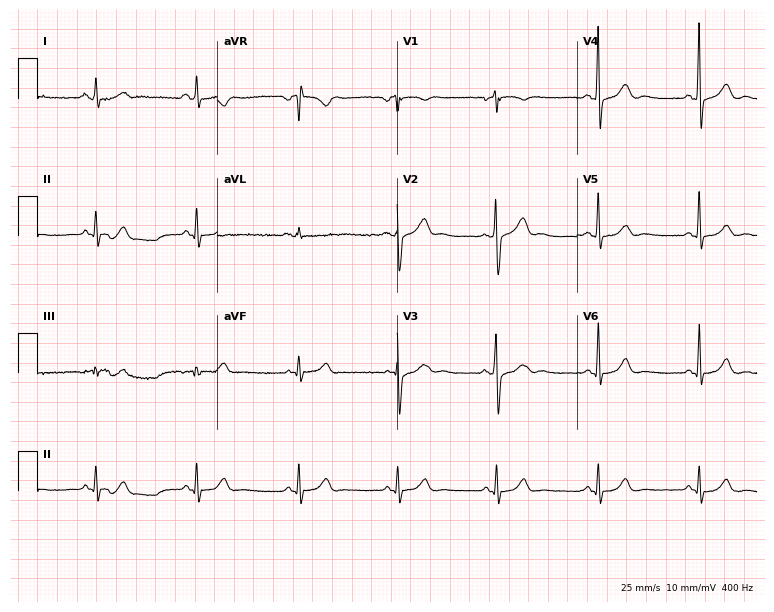
Resting 12-lead electrocardiogram (7.3-second recording at 400 Hz). Patient: a male, 47 years old. Read as a normal ECG.